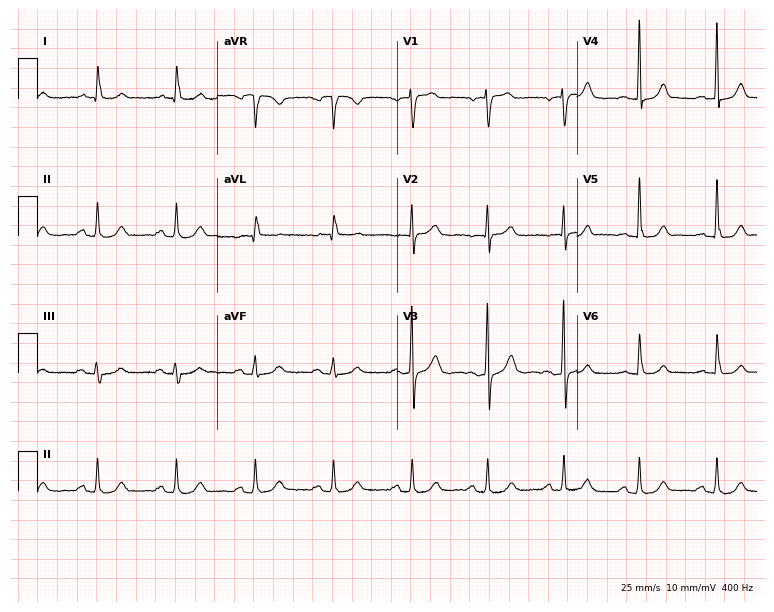
Resting 12-lead electrocardiogram. Patient: a 77-year-old man. Read as a normal ECG.